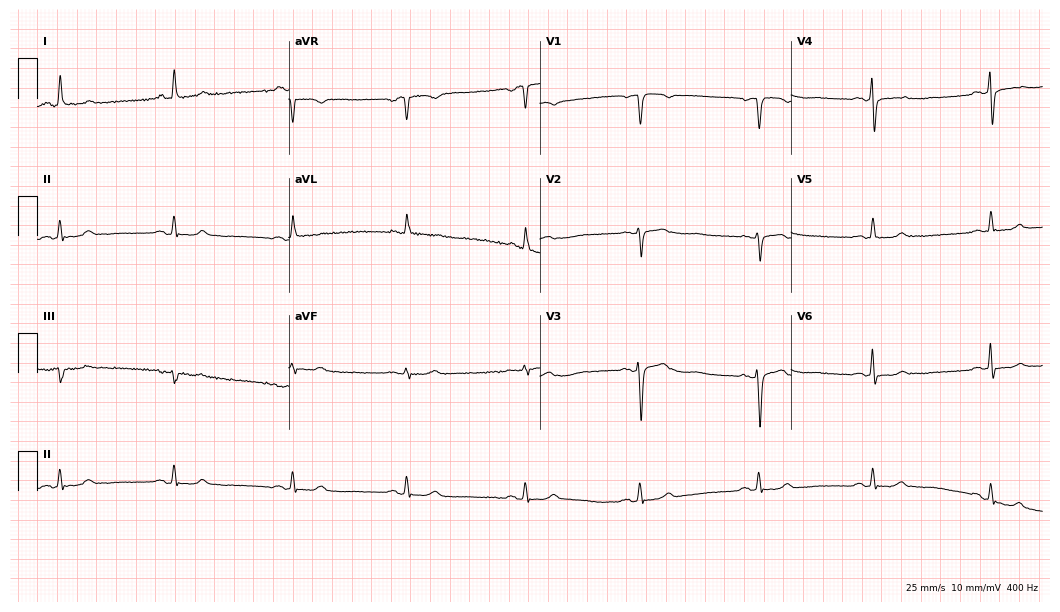
12-lead ECG from a female patient, 56 years old. Findings include sinus bradycardia (a sinus rate of 50 beats per minute or less).